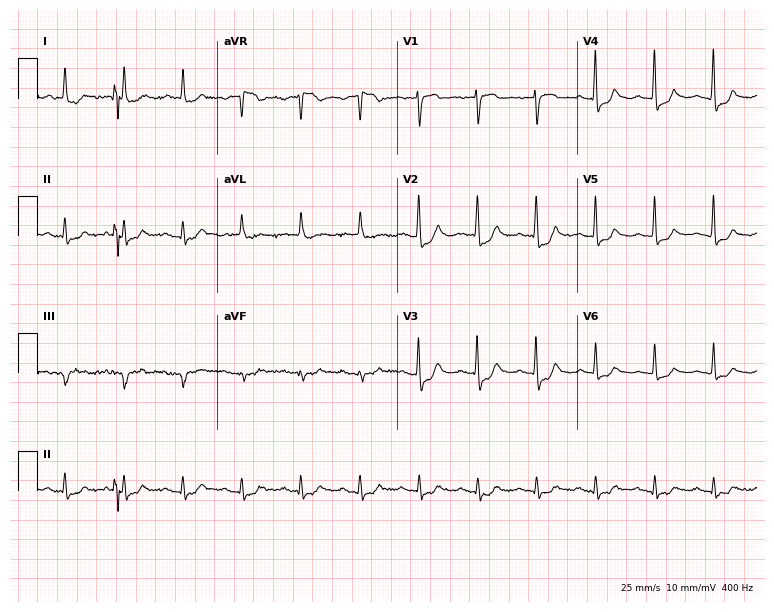
Standard 12-lead ECG recorded from a female patient, 80 years old (7.3-second recording at 400 Hz). None of these six findings is recorded: first-degree AV block, right bundle branch block (RBBB), left bundle branch block (LBBB), sinus bradycardia, atrial fibrillation (AF), sinus tachycardia. Other findings, if any, are not listed.